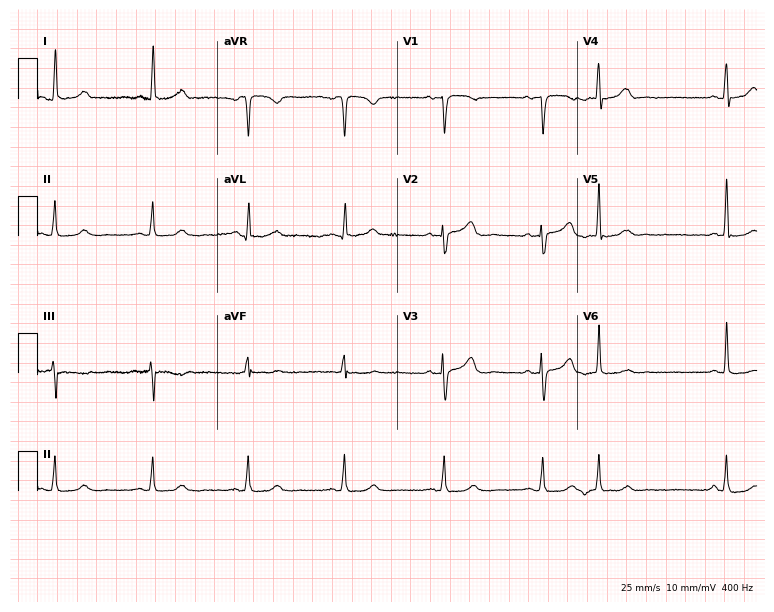
Resting 12-lead electrocardiogram (7.3-second recording at 400 Hz). Patient: a 52-year-old female. None of these six findings is recorded: first-degree AV block, right bundle branch block, left bundle branch block, sinus bradycardia, atrial fibrillation, sinus tachycardia.